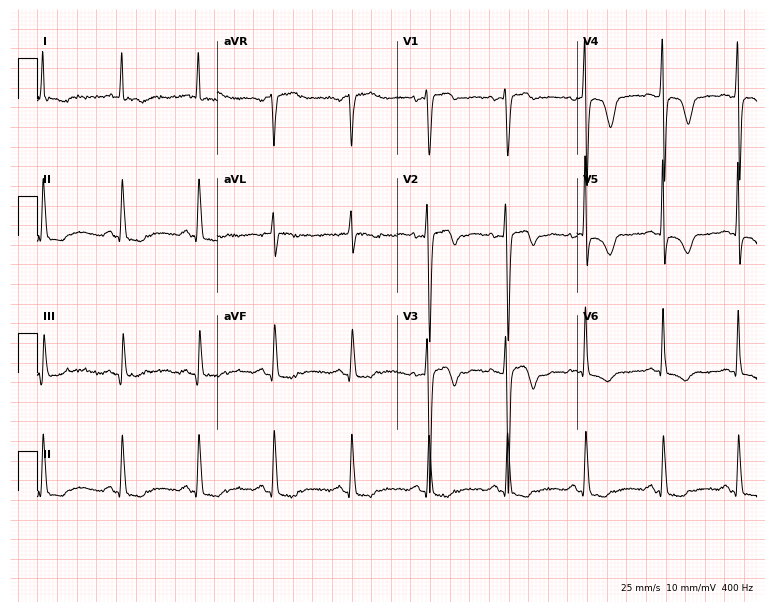
Resting 12-lead electrocardiogram. Patient: a woman, 44 years old. None of these six findings is recorded: first-degree AV block, right bundle branch block (RBBB), left bundle branch block (LBBB), sinus bradycardia, atrial fibrillation (AF), sinus tachycardia. Findings outside these six are not listed.